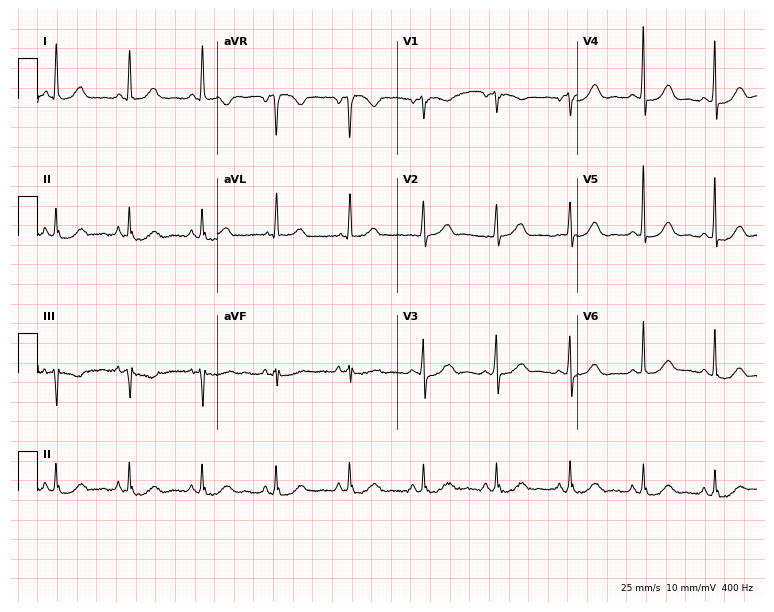
12-lead ECG (7.3-second recording at 400 Hz) from an 81-year-old woman. Labelled as a normal ECG.